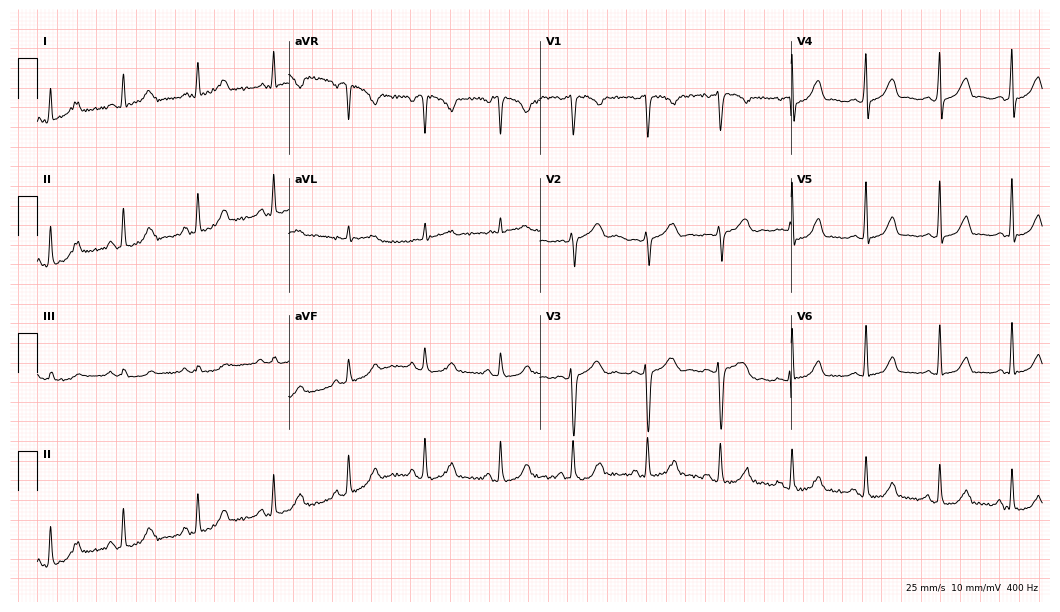
12-lead ECG from a 45-year-old woman. Recorded interpretation: within normal limits.